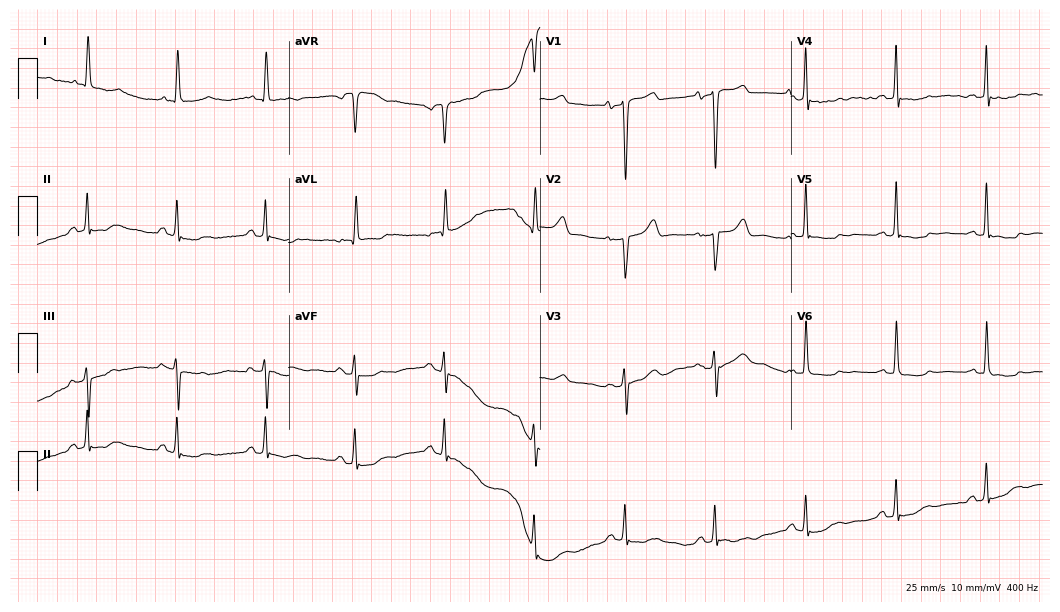
12-lead ECG from a female, 84 years old. No first-degree AV block, right bundle branch block, left bundle branch block, sinus bradycardia, atrial fibrillation or sinus tachycardia recorded for this tracing. Findings outside these six are not listed.